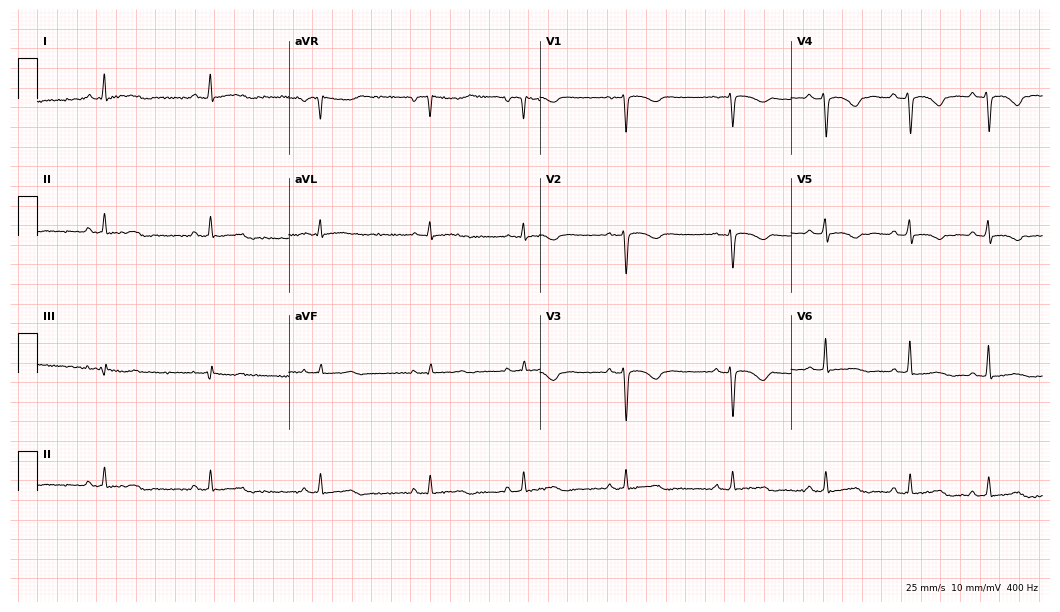
Resting 12-lead electrocardiogram. Patient: a woman, 40 years old. None of these six findings is recorded: first-degree AV block, right bundle branch block (RBBB), left bundle branch block (LBBB), sinus bradycardia, atrial fibrillation (AF), sinus tachycardia.